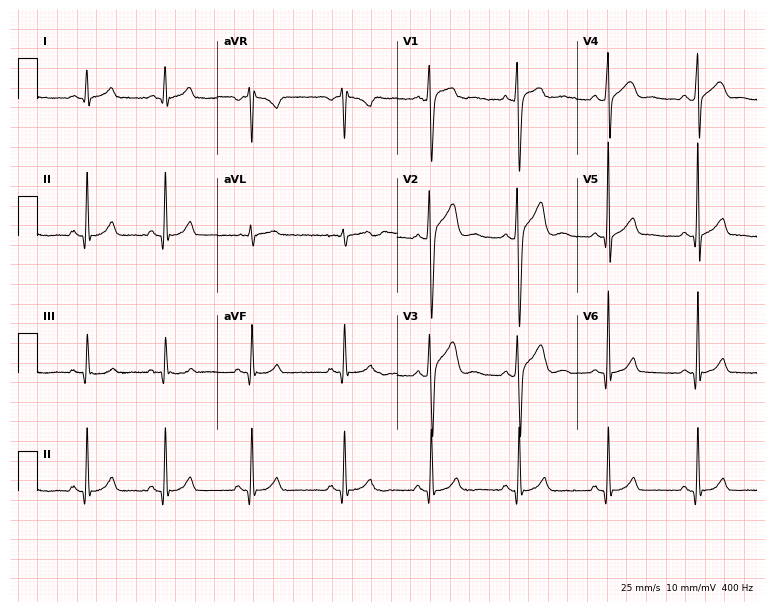
ECG (7.3-second recording at 400 Hz) — a 22-year-old man. Labelled as a normal ECG.